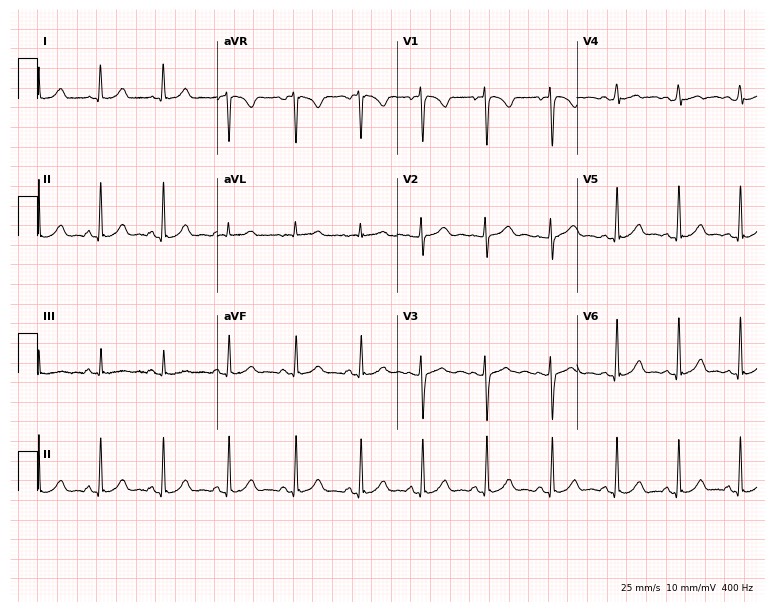
ECG (7.3-second recording at 400 Hz) — a 23-year-old female patient. Labelled as a normal ECG.